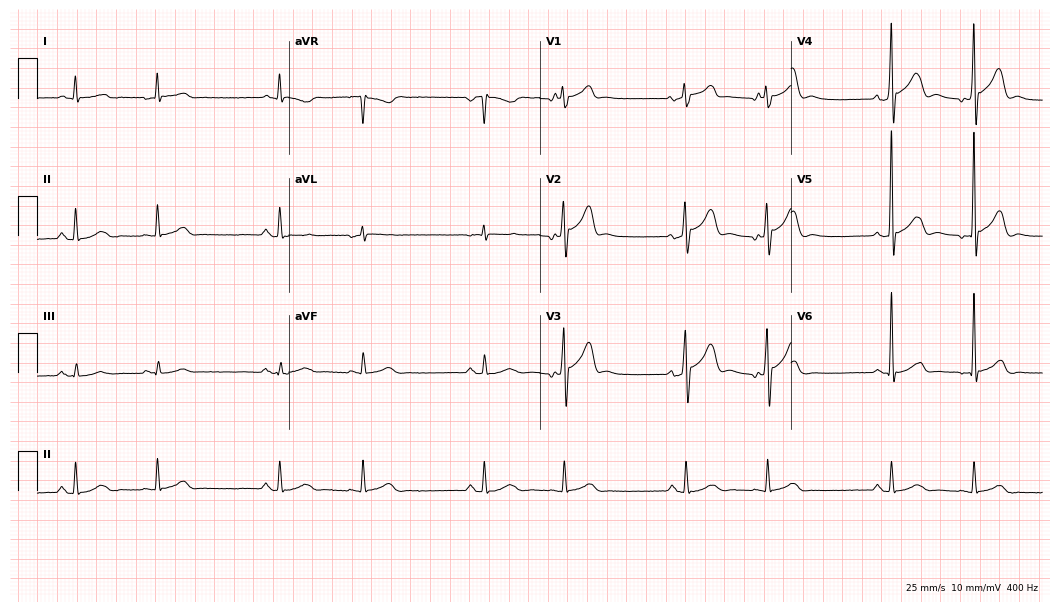
12-lead ECG from a 75-year-old male patient. No first-degree AV block, right bundle branch block, left bundle branch block, sinus bradycardia, atrial fibrillation or sinus tachycardia recorded for this tracing.